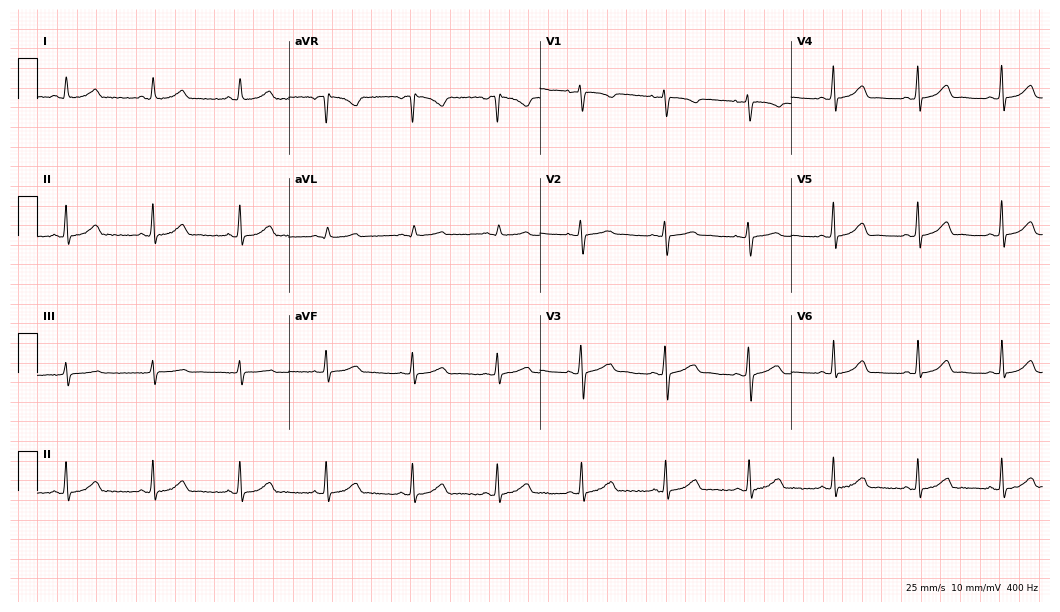
Standard 12-lead ECG recorded from a 38-year-old female (10.2-second recording at 400 Hz). Read as a normal ECG.